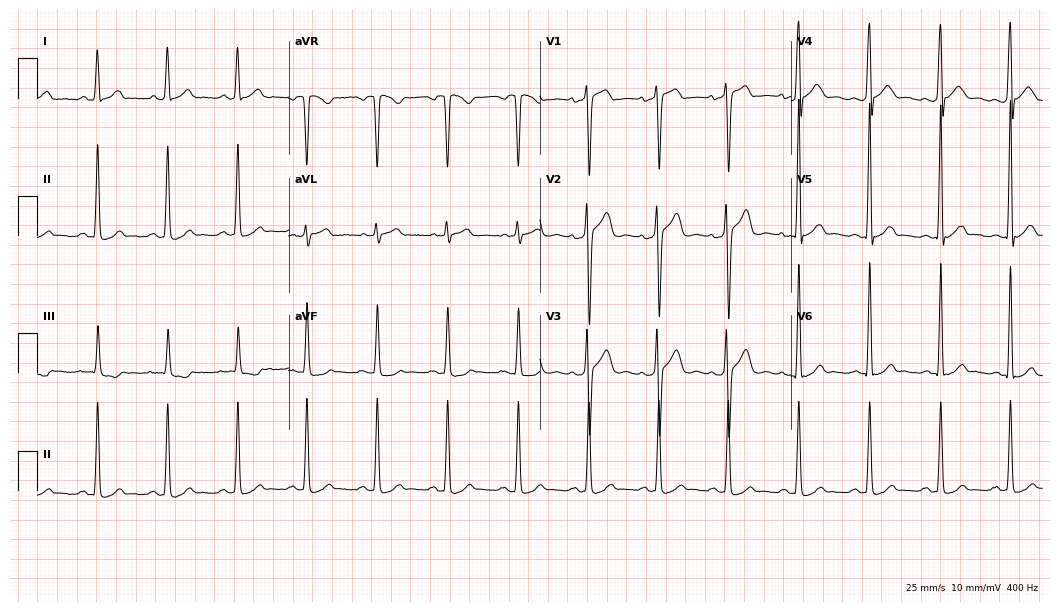
ECG (10.2-second recording at 400 Hz) — a 27-year-old male. Labelled as a normal ECG.